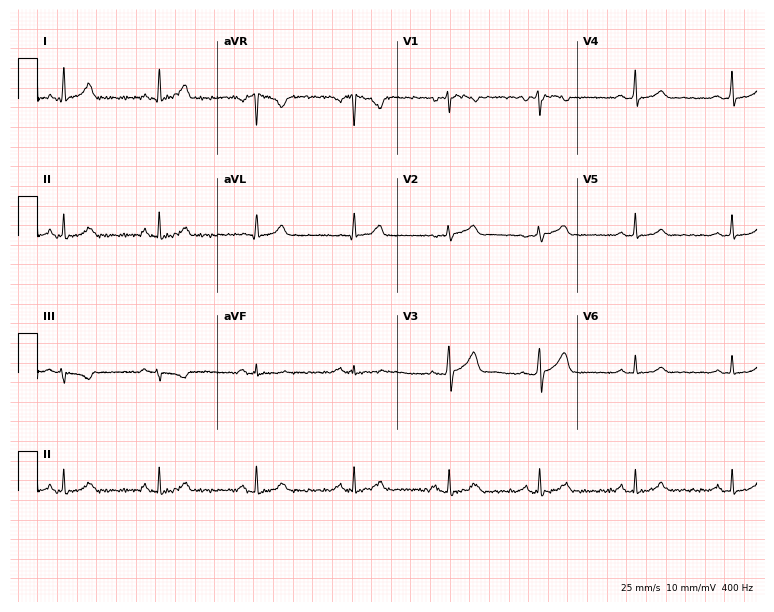
Electrocardiogram (7.3-second recording at 400 Hz), a female, 30 years old. Overall reading on record: normal ECG.